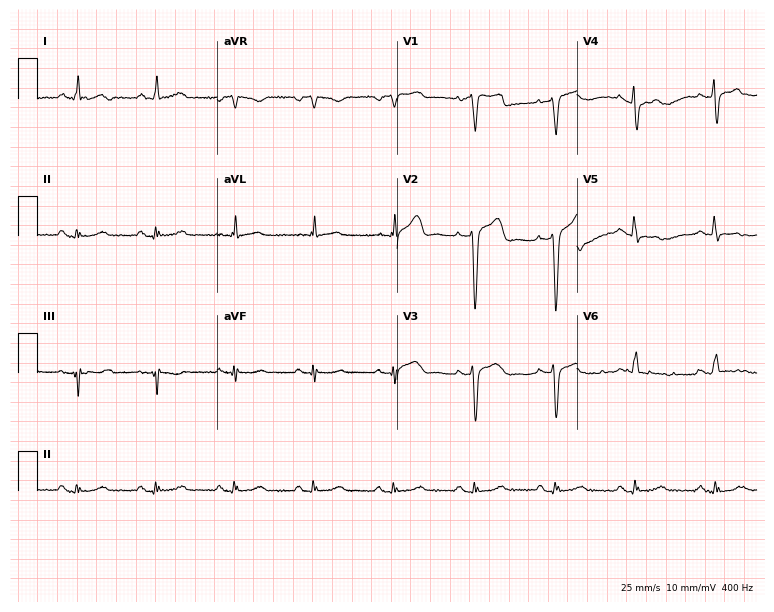
12-lead ECG from a male patient, 48 years old (7.3-second recording at 400 Hz). No first-degree AV block, right bundle branch block, left bundle branch block, sinus bradycardia, atrial fibrillation or sinus tachycardia recorded for this tracing.